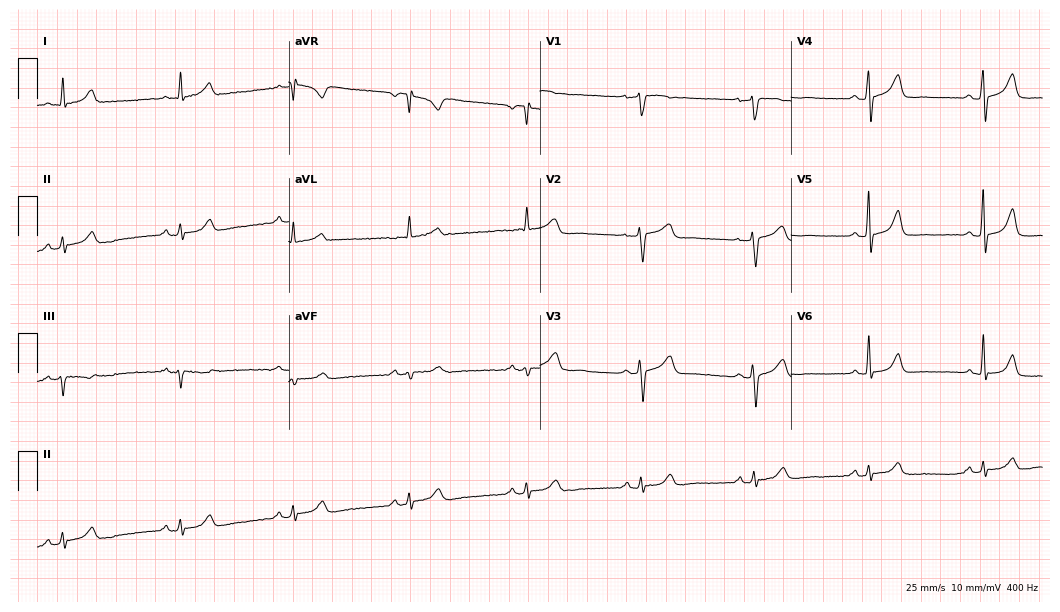
12-lead ECG from a female, 62 years old. Recorded interpretation: within normal limits.